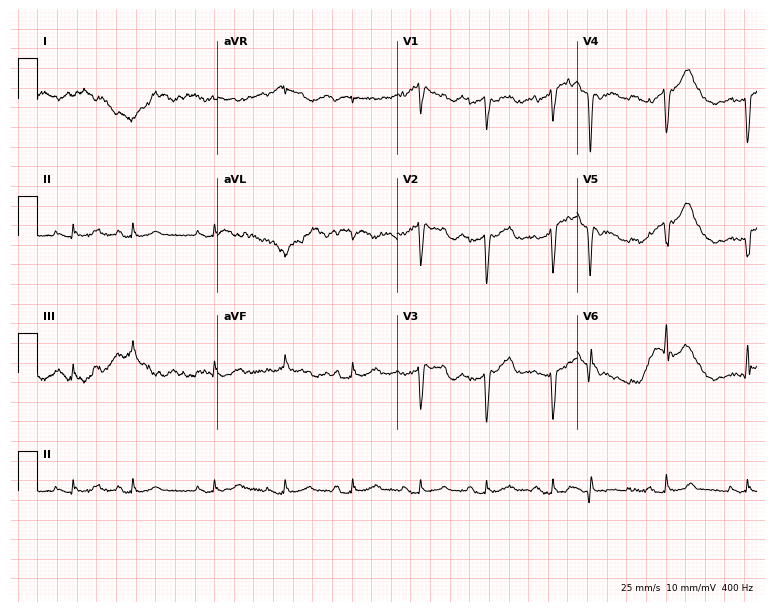
12-lead ECG (7.3-second recording at 400 Hz) from an 80-year-old female patient. Screened for six findings — first-degree AV block, right bundle branch block, left bundle branch block, sinus bradycardia, atrial fibrillation, sinus tachycardia — none is recorded.